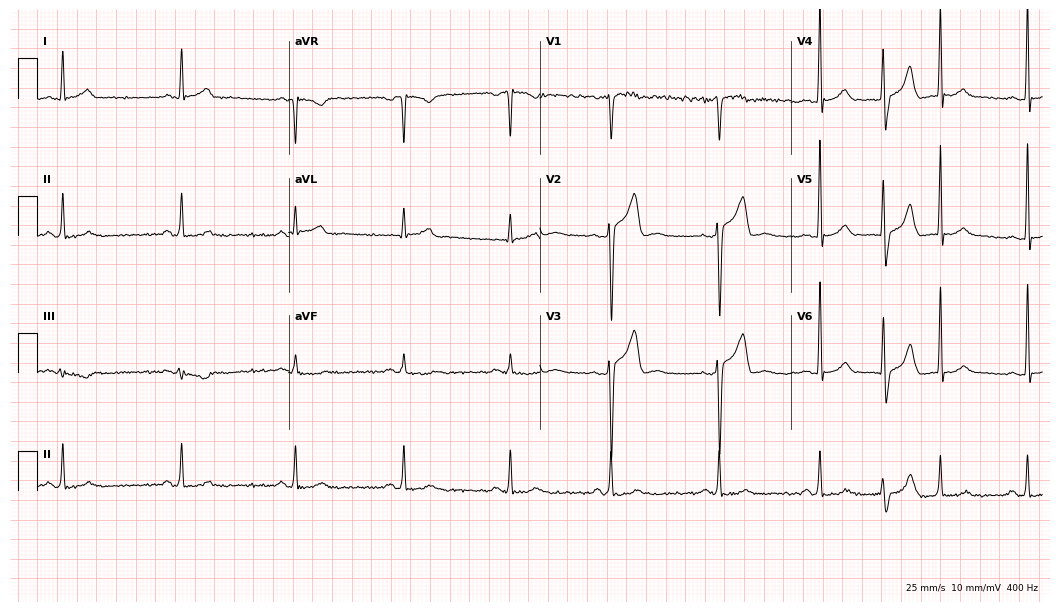
Standard 12-lead ECG recorded from a 42-year-old male patient (10.2-second recording at 400 Hz). None of these six findings is recorded: first-degree AV block, right bundle branch block, left bundle branch block, sinus bradycardia, atrial fibrillation, sinus tachycardia. Other findings, if any, are not listed.